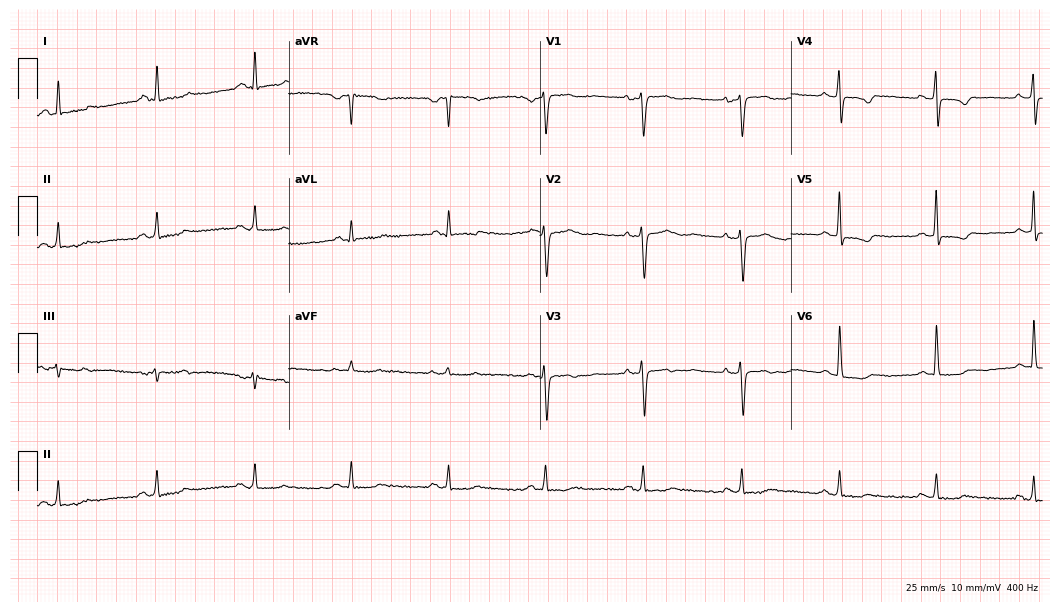
12-lead ECG from a 47-year-old woman. No first-degree AV block, right bundle branch block (RBBB), left bundle branch block (LBBB), sinus bradycardia, atrial fibrillation (AF) or sinus tachycardia recorded for this tracing. Other findings, if any, are not listed.